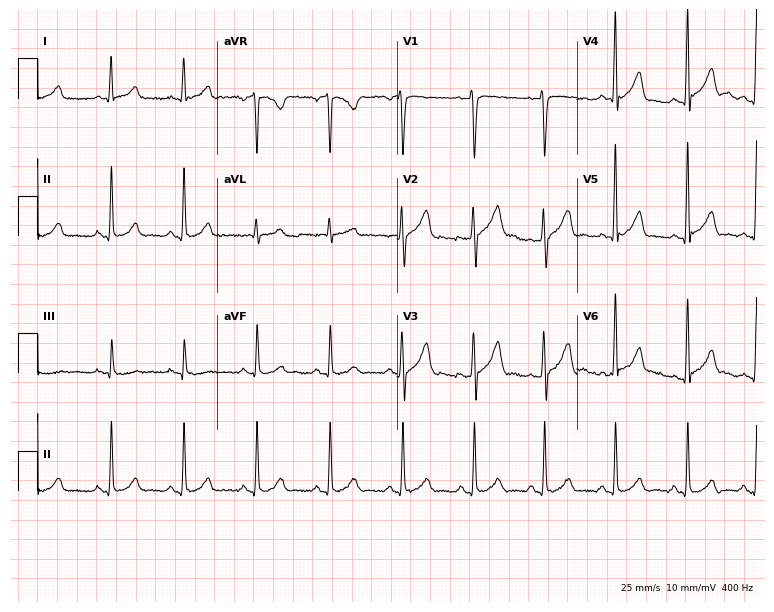
Resting 12-lead electrocardiogram. Patient: a 39-year-old man. None of these six findings is recorded: first-degree AV block, right bundle branch block, left bundle branch block, sinus bradycardia, atrial fibrillation, sinus tachycardia. Other findings, if any, are not listed.